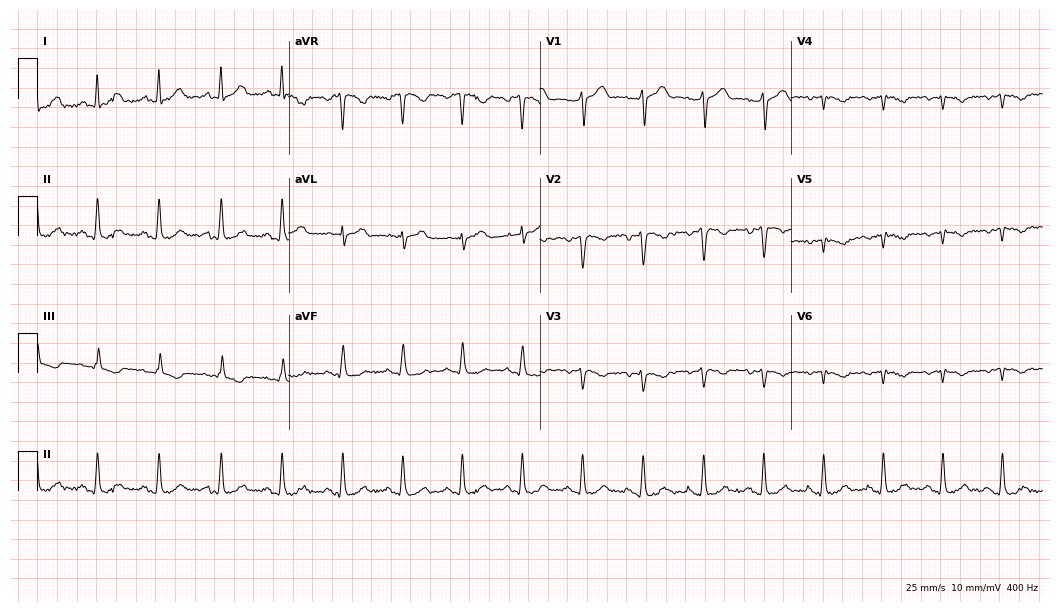
Resting 12-lead electrocardiogram. Patient: a male, 56 years old. None of these six findings is recorded: first-degree AV block, right bundle branch block, left bundle branch block, sinus bradycardia, atrial fibrillation, sinus tachycardia. Other findings, if any, are not listed.